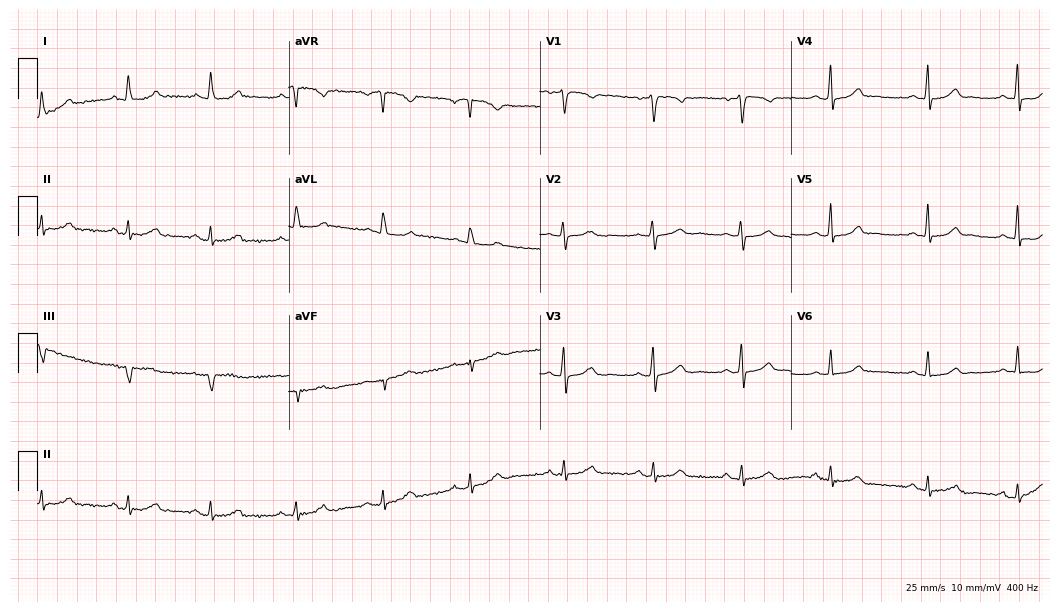
Resting 12-lead electrocardiogram (10.2-second recording at 400 Hz). Patient: a 46-year-old female. Read as a normal ECG.